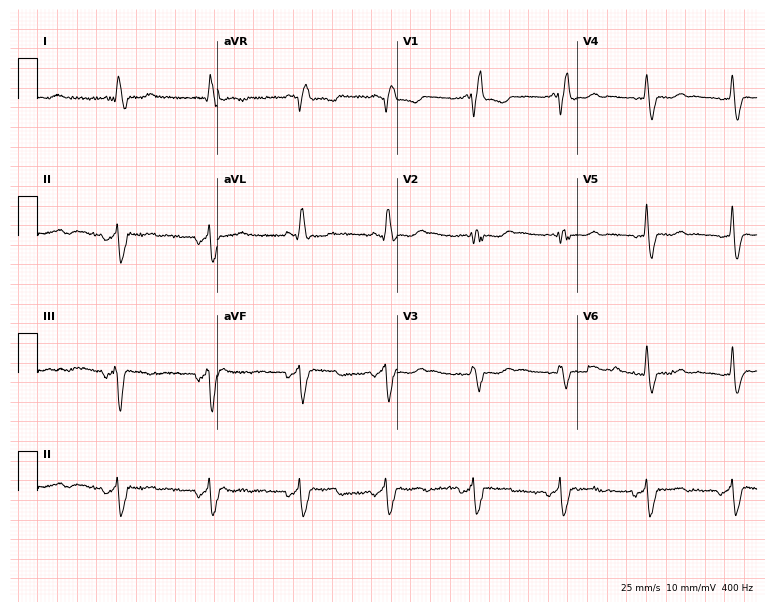
ECG (7.3-second recording at 400 Hz) — a 65-year-old female. Screened for six findings — first-degree AV block, right bundle branch block, left bundle branch block, sinus bradycardia, atrial fibrillation, sinus tachycardia — none is recorded.